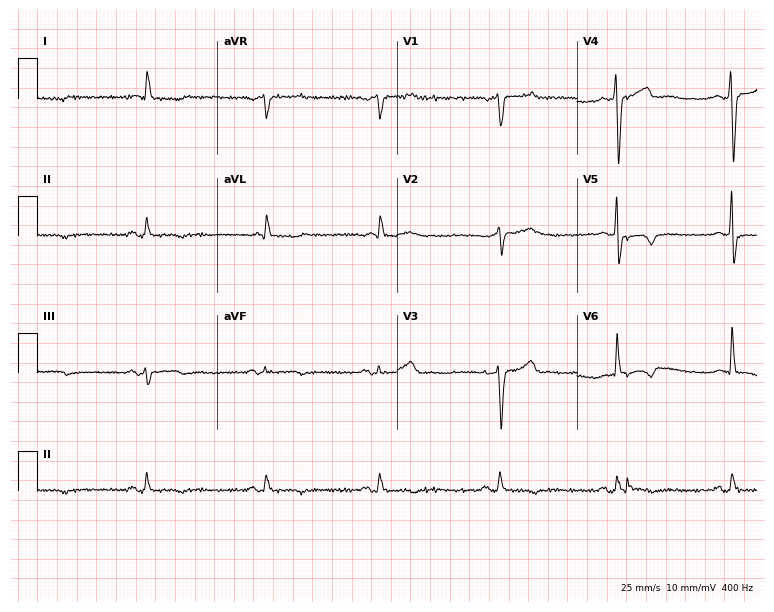
12-lead ECG (7.3-second recording at 400 Hz) from a 74-year-old male. Findings include sinus bradycardia (a sinus rate of 50 beats per minute or less).